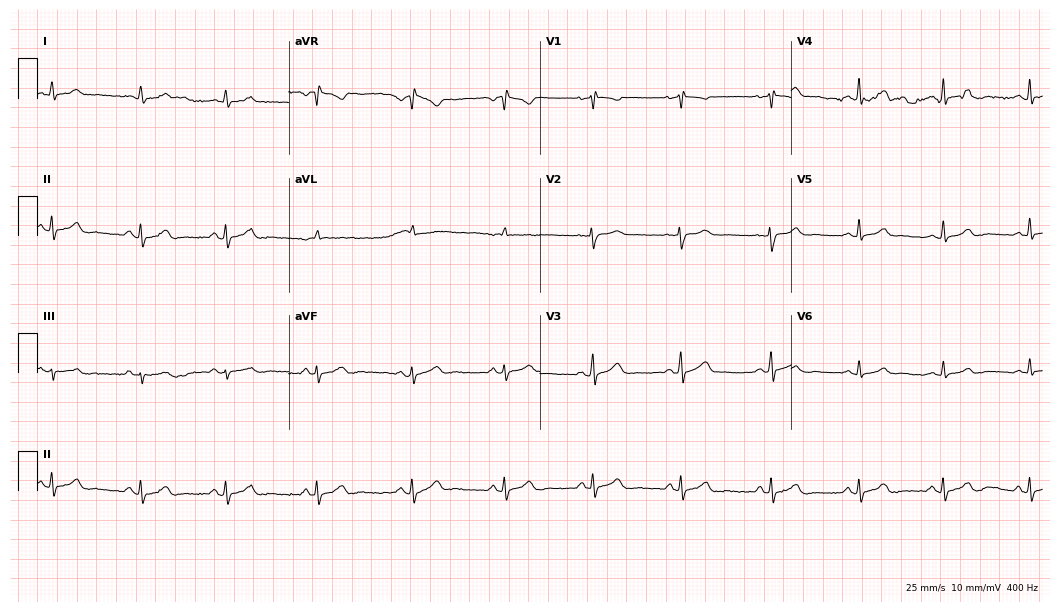
Standard 12-lead ECG recorded from a woman, 21 years old (10.2-second recording at 400 Hz). None of these six findings is recorded: first-degree AV block, right bundle branch block, left bundle branch block, sinus bradycardia, atrial fibrillation, sinus tachycardia. Other findings, if any, are not listed.